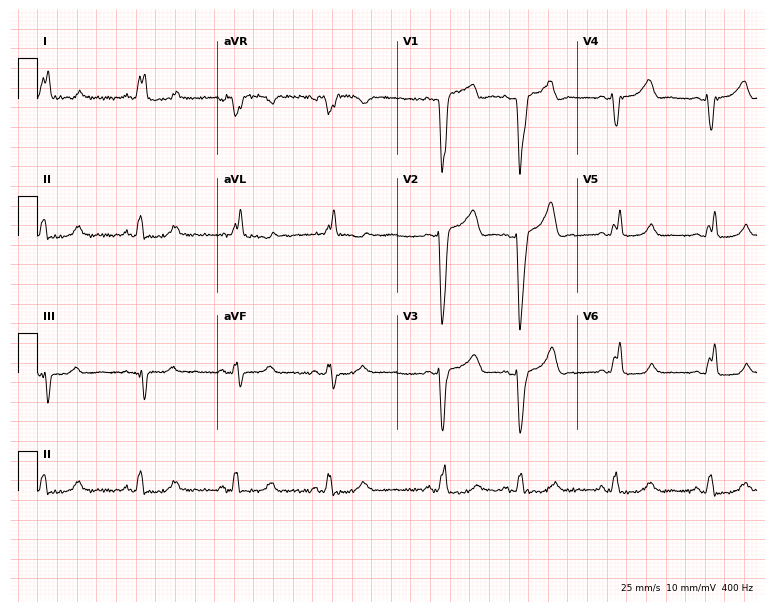
ECG — a woman, 54 years old. Findings include left bundle branch block (LBBB).